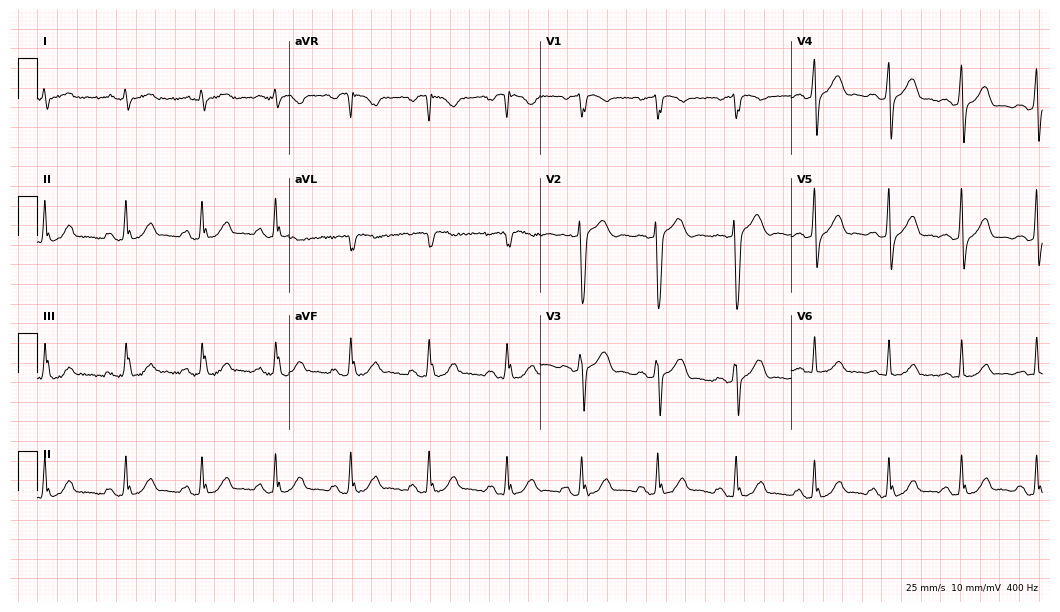
Standard 12-lead ECG recorded from a 28-year-old female. None of these six findings is recorded: first-degree AV block, right bundle branch block, left bundle branch block, sinus bradycardia, atrial fibrillation, sinus tachycardia.